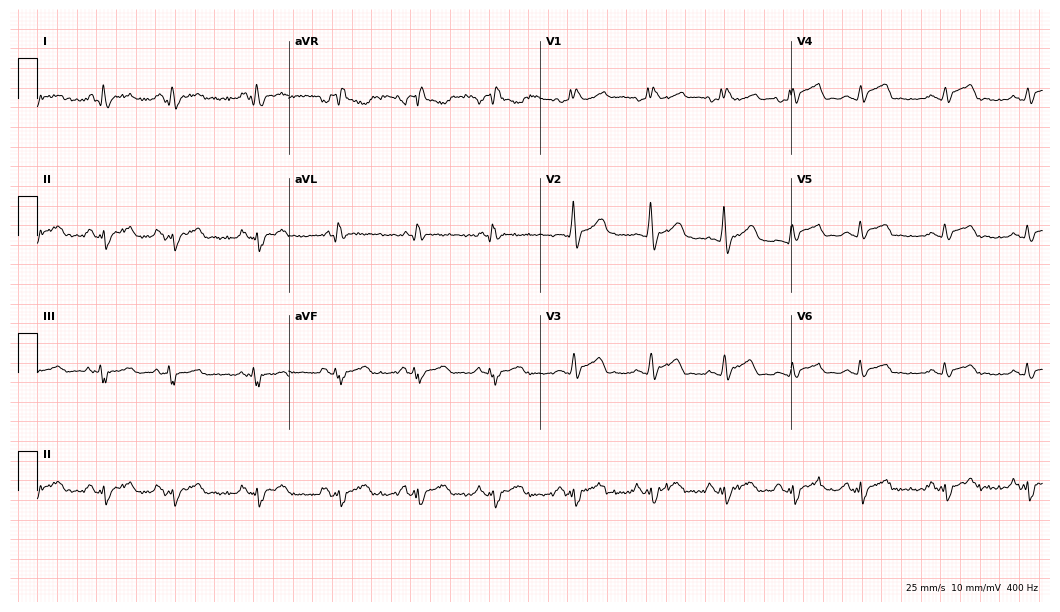
ECG (10.2-second recording at 400 Hz) — a female, 76 years old. Screened for six findings — first-degree AV block, right bundle branch block, left bundle branch block, sinus bradycardia, atrial fibrillation, sinus tachycardia — none is recorded. Findings outside these six are not listed.